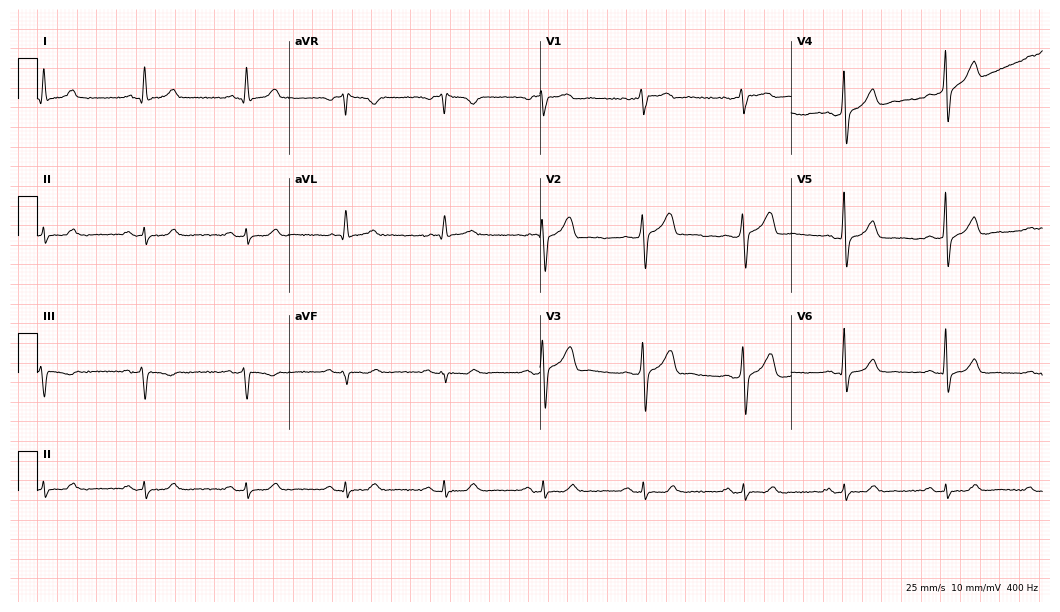
ECG — a 60-year-old male. Screened for six findings — first-degree AV block, right bundle branch block, left bundle branch block, sinus bradycardia, atrial fibrillation, sinus tachycardia — none is recorded.